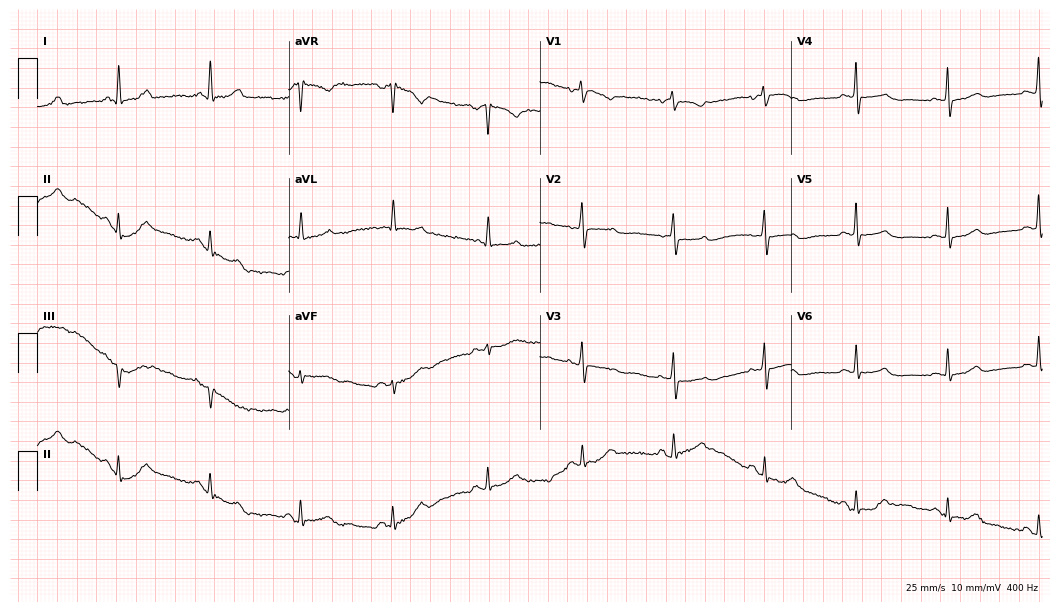
ECG (10.2-second recording at 400 Hz) — a 74-year-old woman. Labelled as a normal ECG.